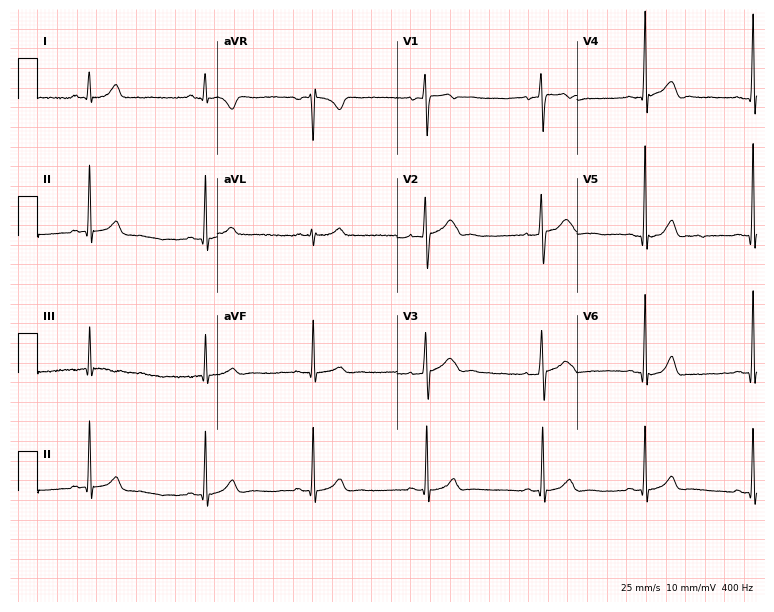
ECG (7.3-second recording at 400 Hz) — a 17-year-old male. Labelled as a normal ECG.